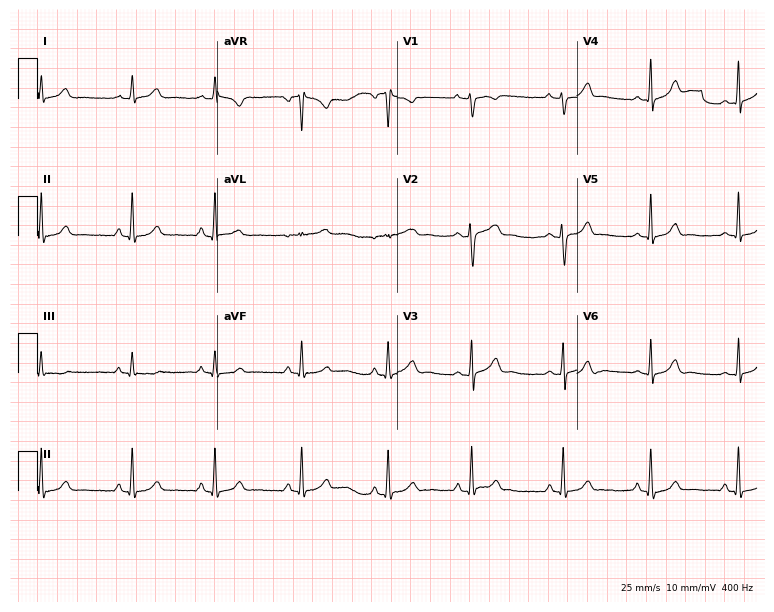
ECG — a 27-year-old woman. Screened for six findings — first-degree AV block, right bundle branch block, left bundle branch block, sinus bradycardia, atrial fibrillation, sinus tachycardia — none is recorded.